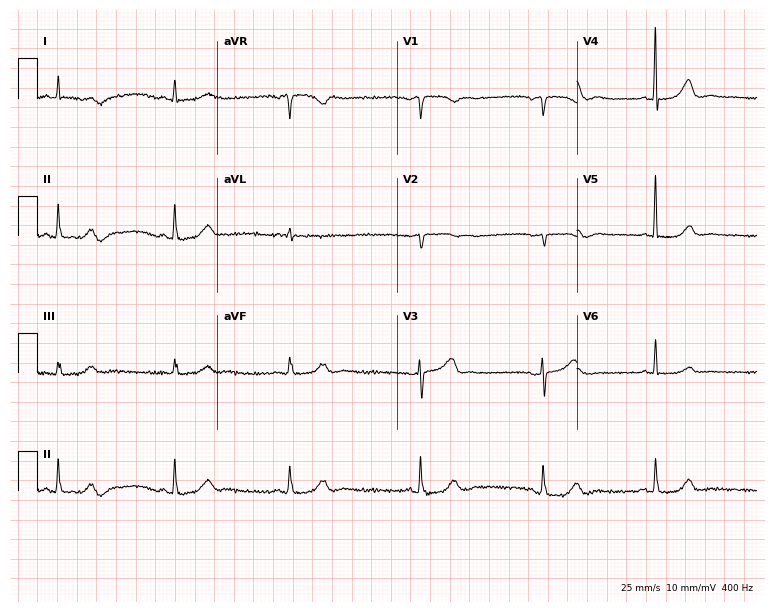
ECG (7.3-second recording at 400 Hz) — an 85-year-old female. Screened for six findings — first-degree AV block, right bundle branch block (RBBB), left bundle branch block (LBBB), sinus bradycardia, atrial fibrillation (AF), sinus tachycardia — none is recorded. Only these six findings were labelled.